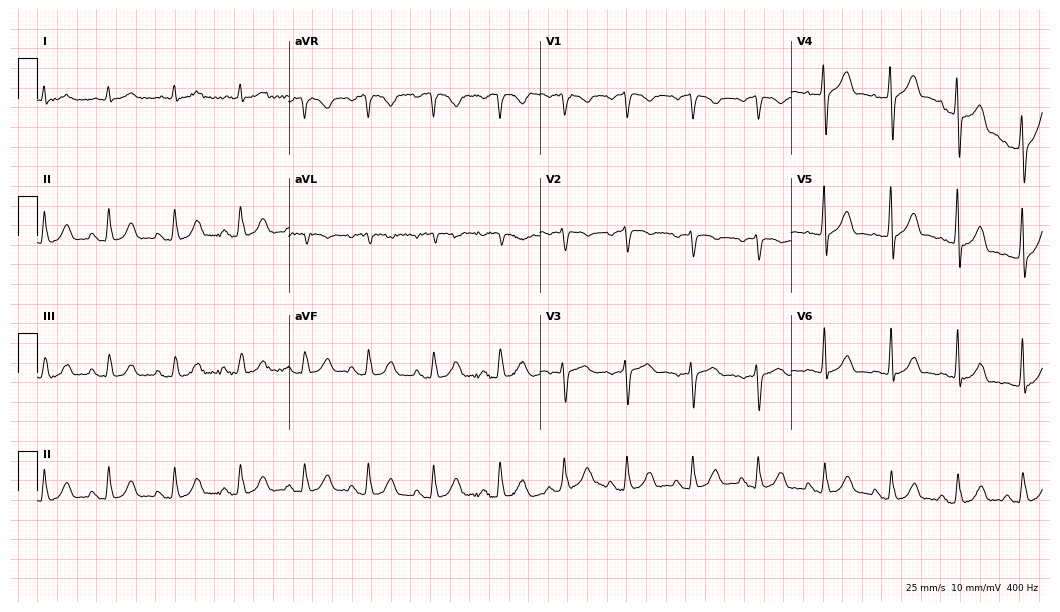
12-lead ECG from a male, 68 years old. No first-degree AV block, right bundle branch block (RBBB), left bundle branch block (LBBB), sinus bradycardia, atrial fibrillation (AF) or sinus tachycardia recorded for this tracing.